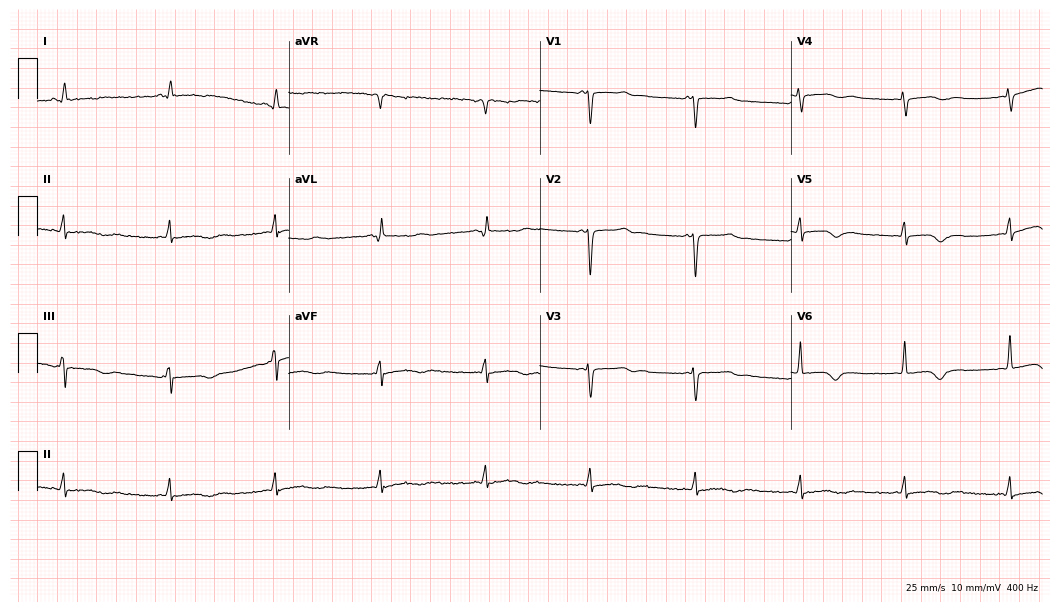
Electrocardiogram (10.2-second recording at 400 Hz), a 52-year-old female patient. Of the six screened findings (first-degree AV block, right bundle branch block, left bundle branch block, sinus bradycardia, atrial fibrillation, sinus tachycardia), none is recorded.